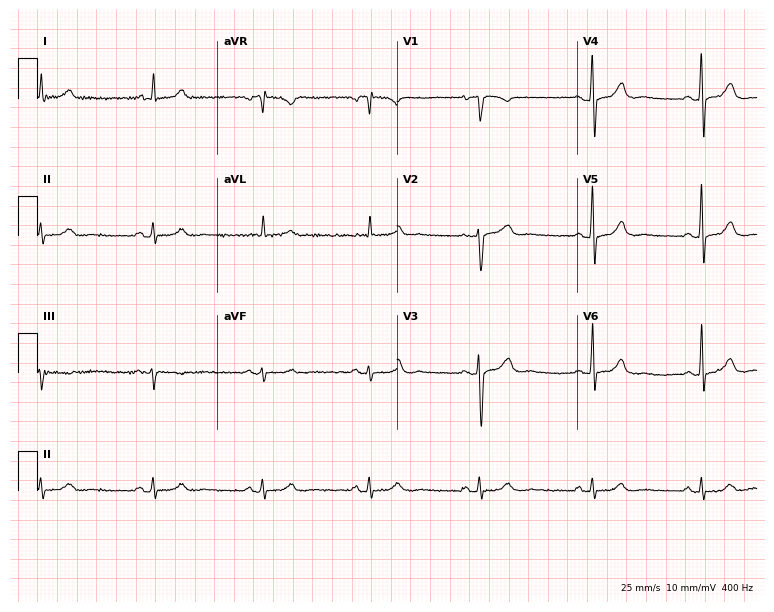
12-lead ECG from a 45-year-old female. Screened for six findings — first-degree AV block, right bundle branch block, left bundle branch block, sinus bradycardia, atrial fibrillation, sinus tachycardia — none is recorded.